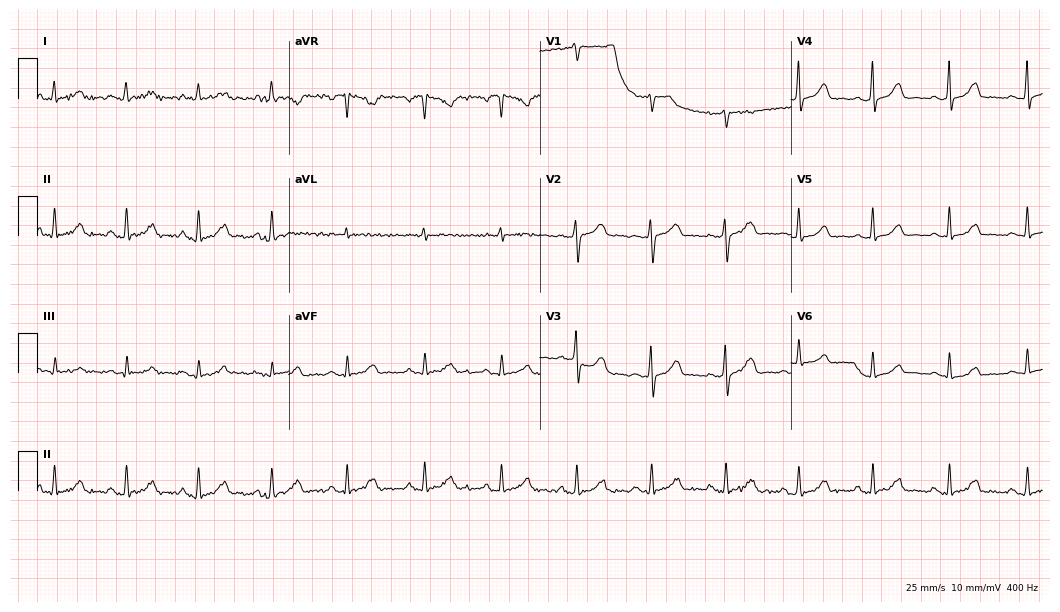
Standard 12-lead ECG recorded from a 46-year-old woman (10.2-second recording at 400 Hz). None of these six findings is recorded: first-degree AV block, right bundle branch block (RBBB), left bundle branch block (LBBB), sinus bradycardia, atrial fibrillation (AF), sinus tachycardia. Other findings, if any, are not listed.